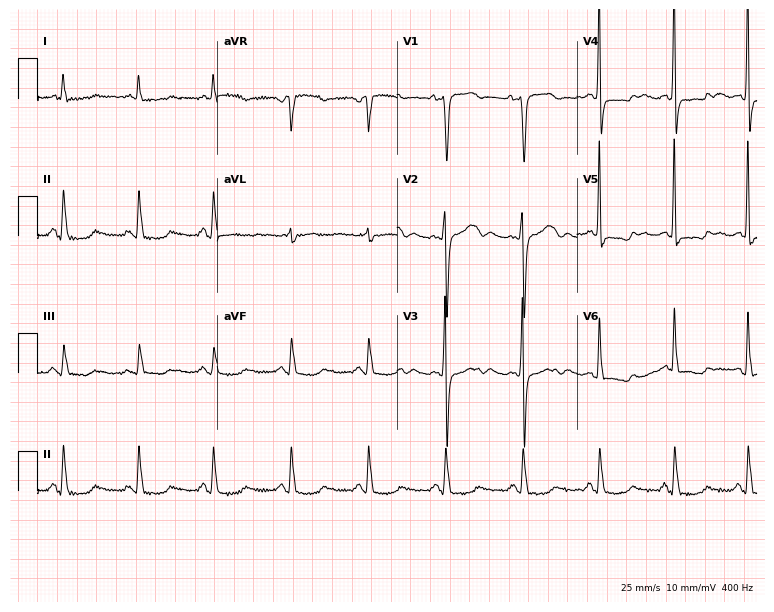
Resting 12-lead electrocardiogram (7.3-second recording at 400 Hz). Patient: a woman, 60 years old. None of these six findings is recorded: first-degree AV block, right bundle branch block, left bundle branch block, sinus bradycardia, atrial fibrillation, sinus tachycardia. Findings outside these six are not listed.